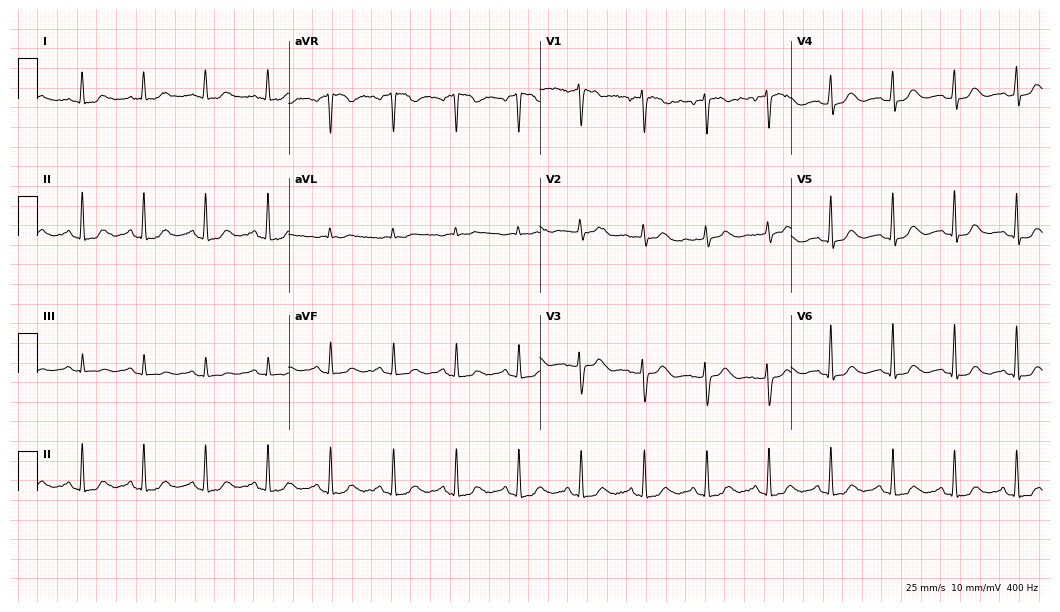
ECG (10.2-second recording at 400 Hz) — a female patient, 53 years old. Labelled as a normal ECG.